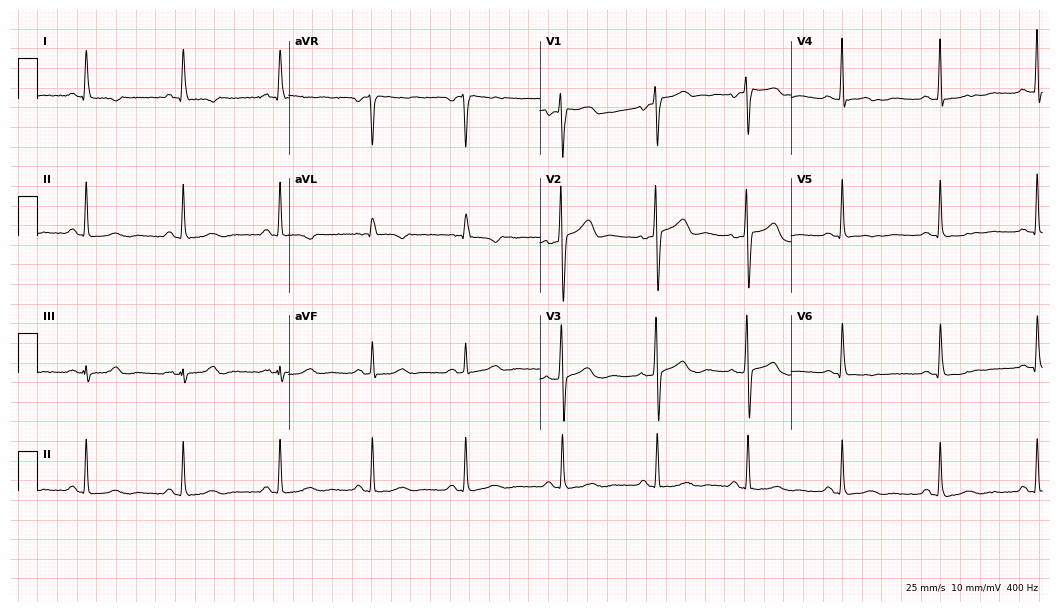
12-lead ECG from a female patient, 50 years old. No first-degree AV block, right bundle branch block, left bundle branch block, sinus bradycardia, atrial fibrillation or sinus tachycardia recorded for this tracing. Findings outside these six are not listed.